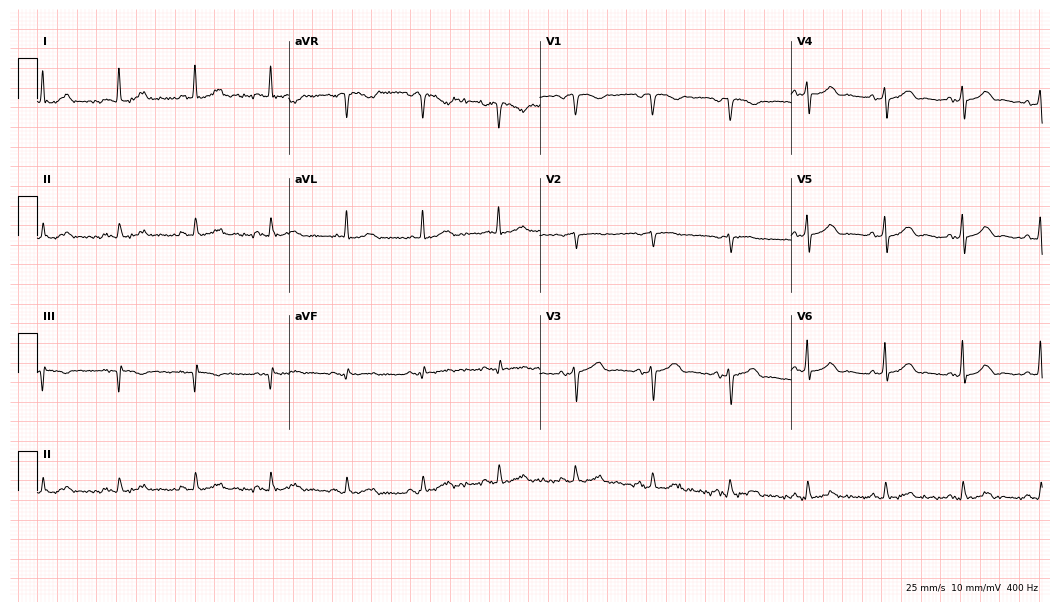
Standard 12-lead ECG recorded from a 65-year-old male patient. Read as a normal ECG.